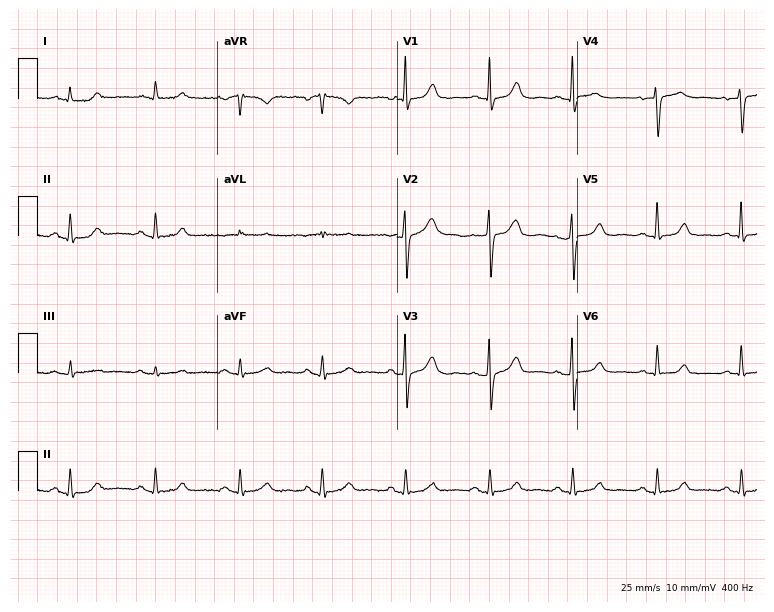
12-lead ECG from a woman, 70 years old (7.3-second recording at 400 Hz). Recorded interpretation: within normal limits.